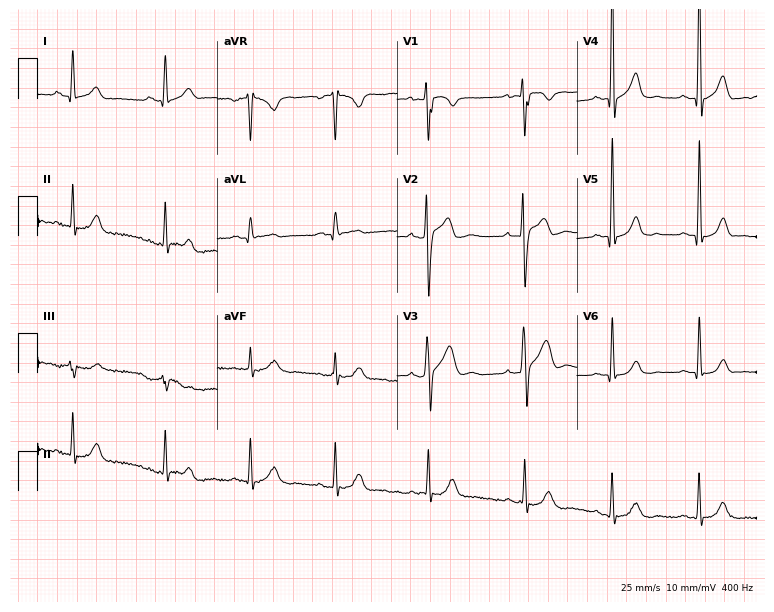
ECG (7.3-second recording at 400 Hz) — a 26-year-old male patient. Screened for six findings — first-degree AV block, right bundle branch block, left bundle branch block, sinus bradycardia, atrial fibrillation, sinus tachycardia — none is recorded. Other findings, if any, are not listed.